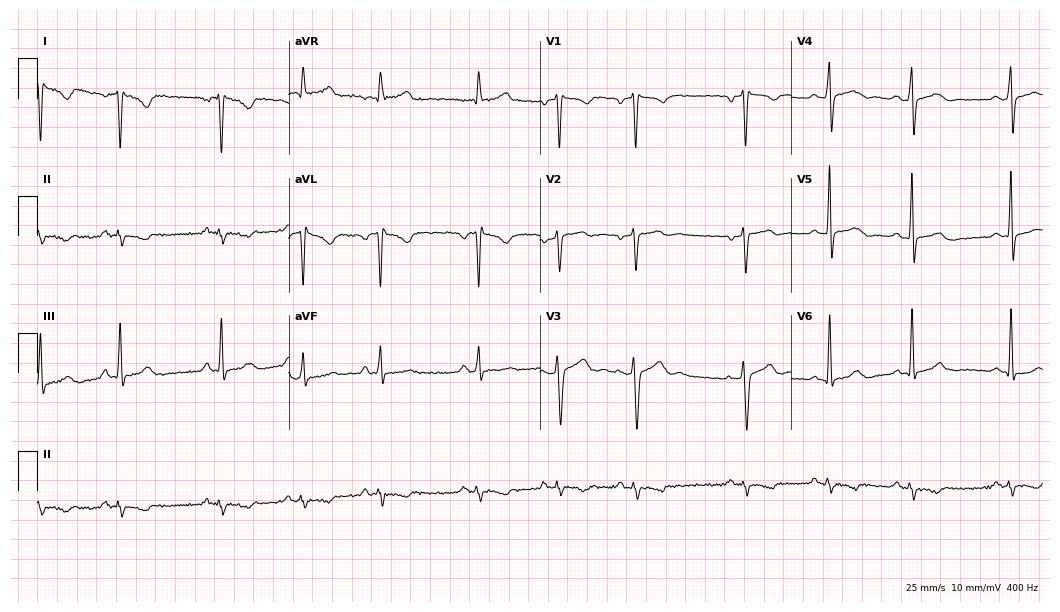
12-lead ECG from a woman, 35 years old (10.2-second recording at 400 Hz). No first-degree AV block, right bundle branch block (RBBB), left bundle branch block (LBBB), sinus bradycardia, atrial fibrillation (AF) or sinus tachycardia recorded for this tracing.